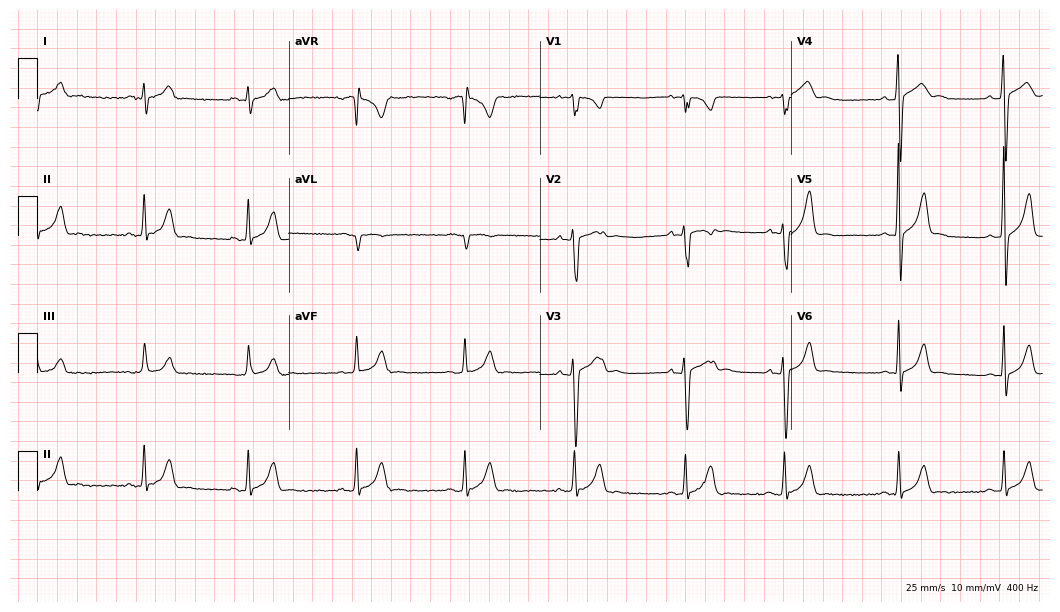
Electrocardiogram, a male, 17 years old. Of the six screened findings (first-degree AV block, right bundle branch block, left bundle branch block, sinus bradycardia, atrial fibrillation, sinus tachycardia), none is recorded. Other findings, if any, are not listed.